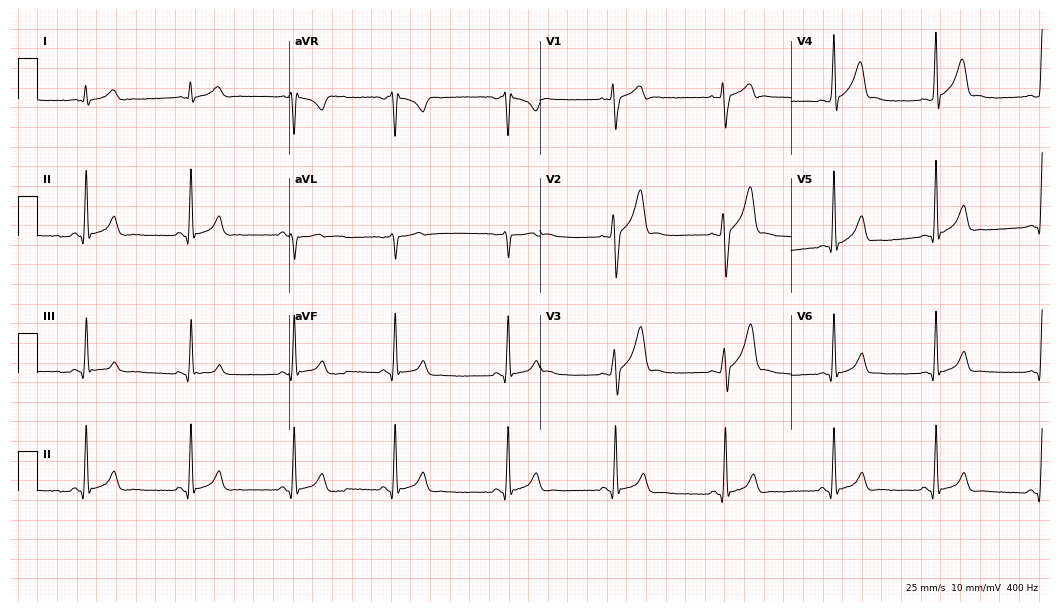
Resting 12-lead electrocardiogram. Patient: a man, 23 years old. None of these six findings is recorded: first-degree AV block, right bundle branch block, left bundle branch block, sinus bradycardia, atrial fibrillation, sinus tachycardia. Findings outside these six are not listed.